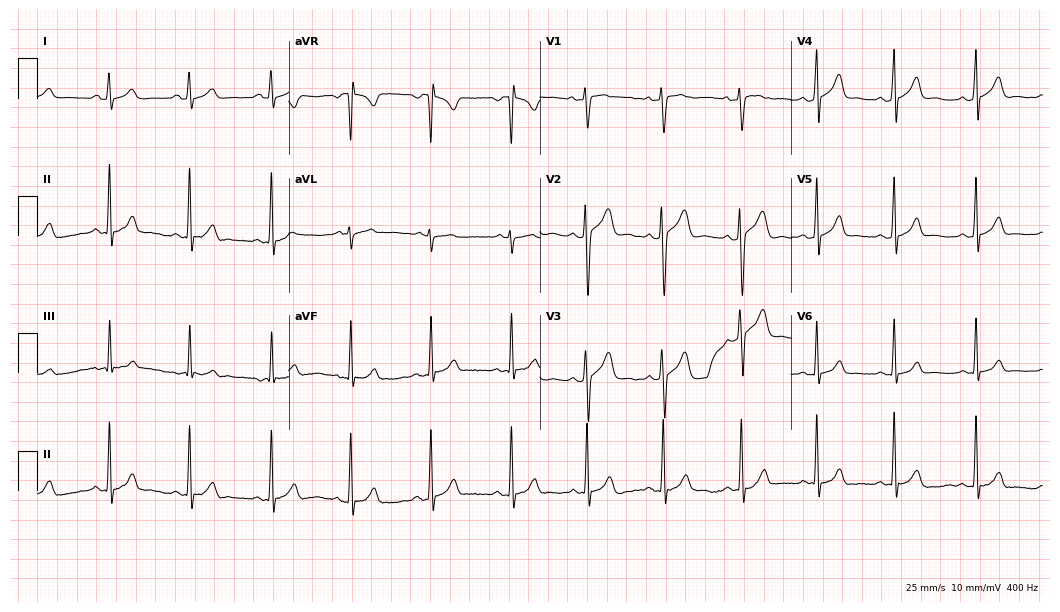
ECG — a woman, 18 years old. Screened for six findings — first-degree AV block, right bundle branch block (RBBB), left bundle branch block (LBBB), sinus bradycardia, atrial fibrillation (AF), sinus tachycardia — none is recorded. Only these six findings were labelled.